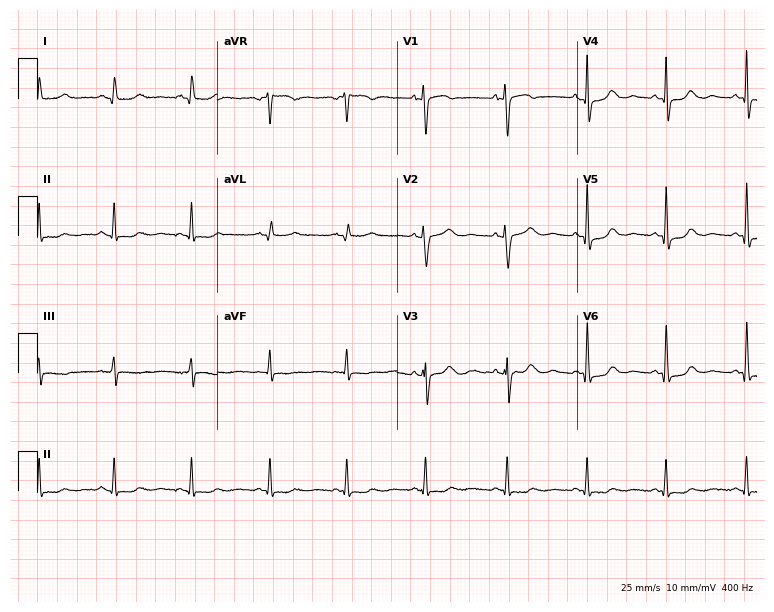
Standard 12-lead ECG recorded from a 49-year-old female patient. None of these six findings is recorded: first-degree AV block, right bundle branch block, left bundle branch block, sinus bradycardia, atrial fibrillation, sinus tachycardia.